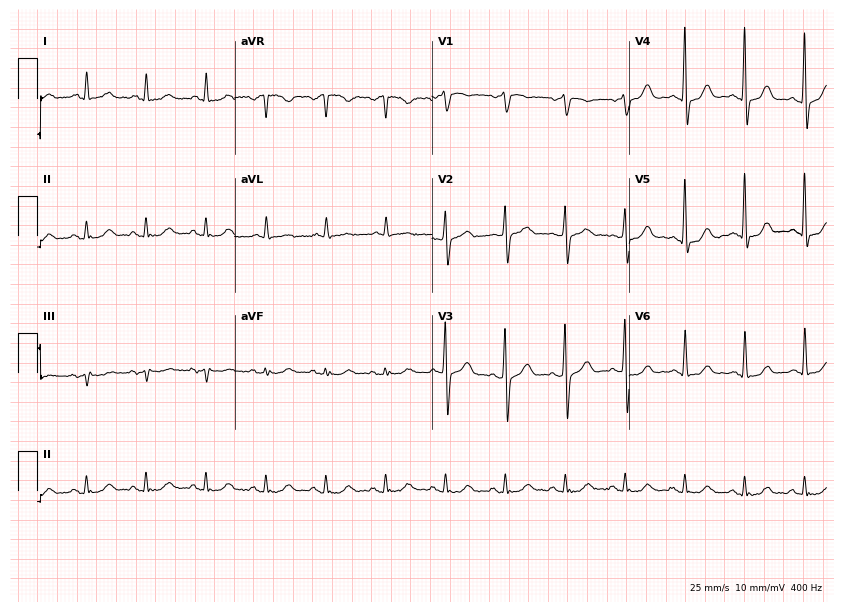
Resting 12-lead electrocardiogram. Patient: a male, 77 years old. None of these six findings is recorded: first-degree AV block, right bundle branch block (RBBB), left bundle branch block (LBBB), sinus bradycardia, atrial fibrillation (AF), sinus tachycardia. Only these six findings were labelled.